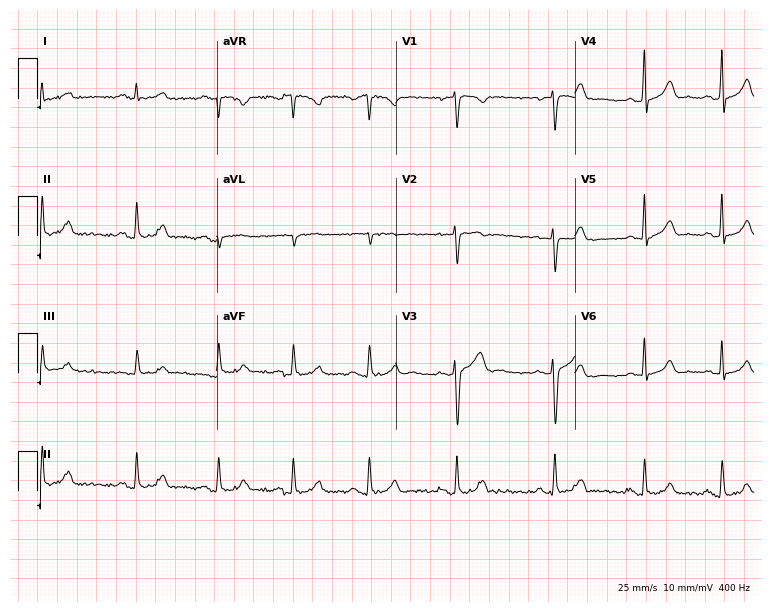
ECG (7.3-second recording at 400 Hz) — a female patient, 27 years old. Screened for six findings — first-degree AV block, right bundle branch block, left bundle branch block, sinus bradycardia, atrial fibrillation, sinus tachycardia — none is recorded. Other findings, if any, are not listed.